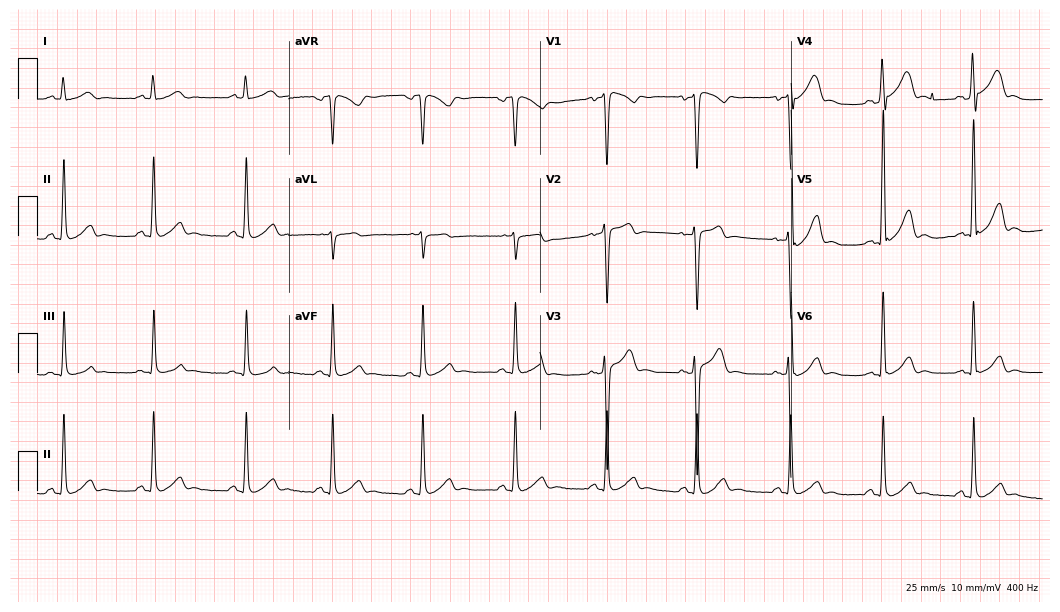
ECG — a 27-year-old woman. Screened for six findings — first-degree AV block, right bundle branch block, left bundle branch block, sinus bradycardia, atrial fibrillation, sinus tachycardia — none is recorded. Findings outside these six are not listed.